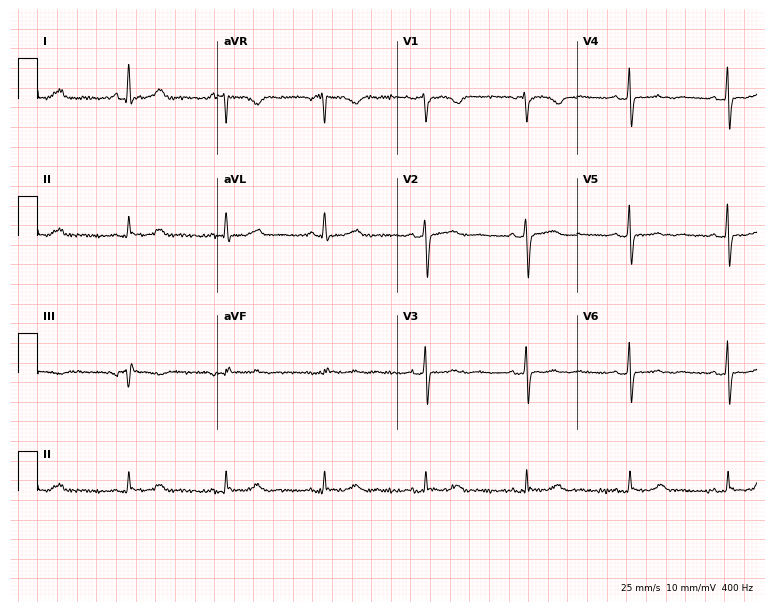
Electrocardiogram (7.3-second recording at 400 Hz), a female patient, 68 years old. Of the six screened findings (first-degree AV block, right bundle branch block (RBBB), left bundle branch block (LBBB), sinus bradycardia, atrial fibrillation (AF), sinus tachycardia), none is recorded. Only these six findings were labelled.